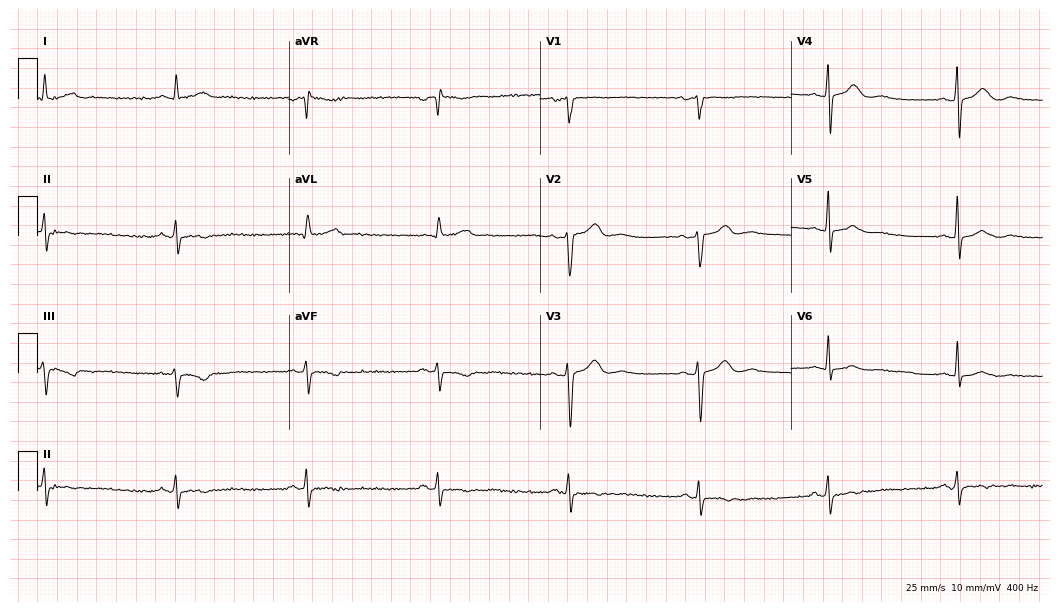
Electrocardiogram, a female, 56 years old. Interpretation includes sinus bradycardia (a sinus rate of 50 beats per minute or less).